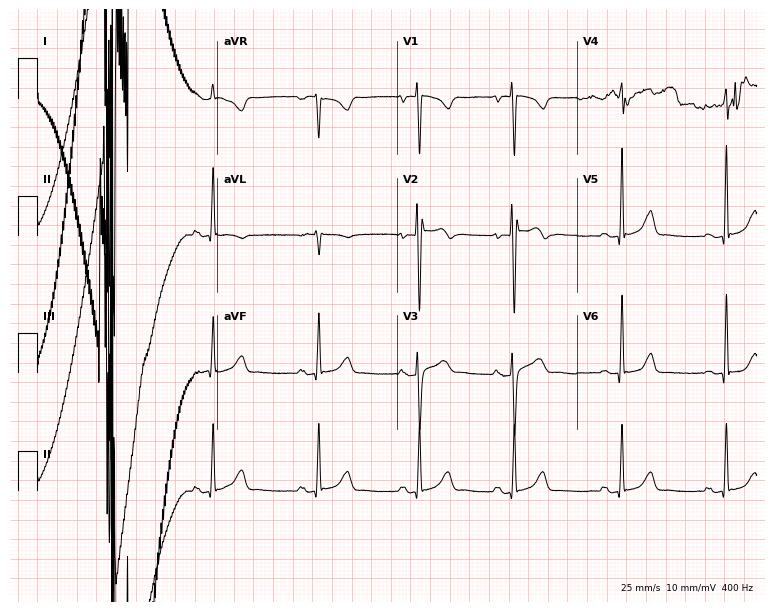
Standard 12-lead ECG recorded from a man, 24 years old (7.3-second recording at 400 Hz). Read as a normal ECG.